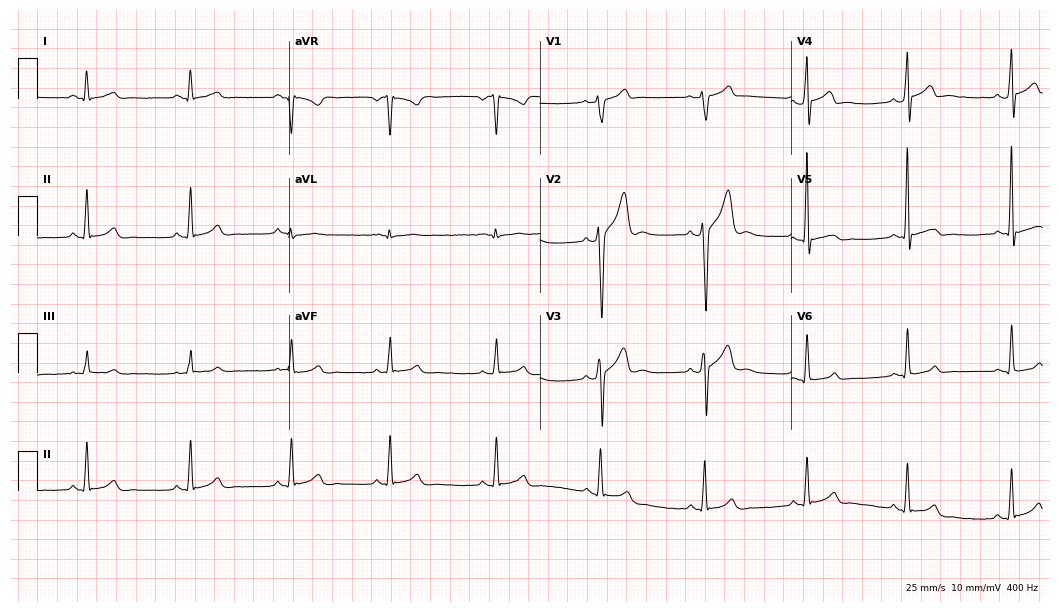
Resting 12-lead electrocardiogram. Patient: a 19-year-old man. Read as a normal ECG.